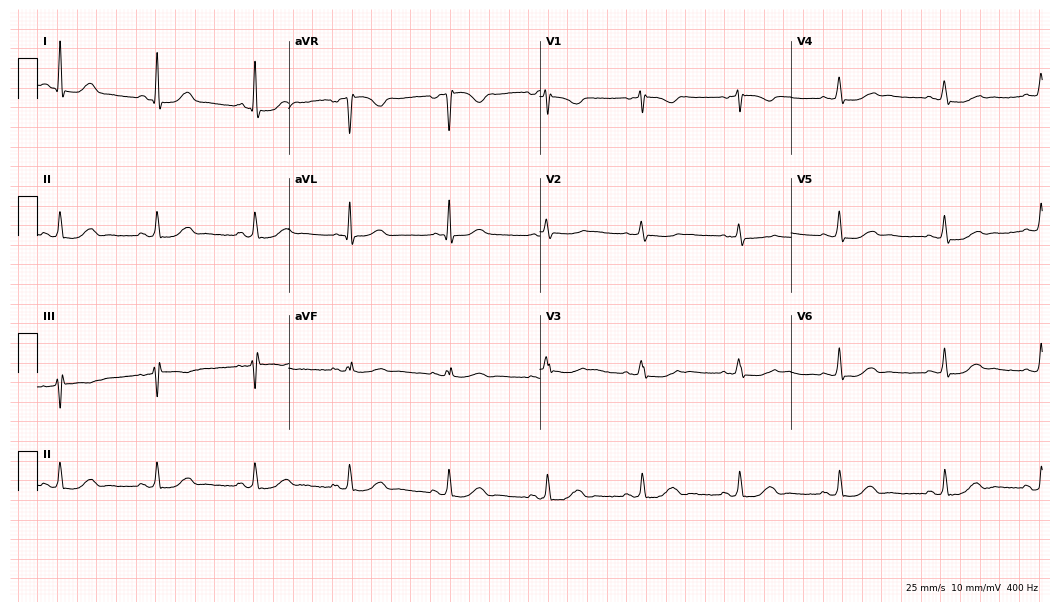
12-lead ECG from a woman, 51 years old. Screened for six findings — first-degree AV block, right bundle branch block, left bundle branch block, sinus bradycardia, atrial fibrillation, sinus tachycardia — none is recorded. Other findings, if any, are not listed.